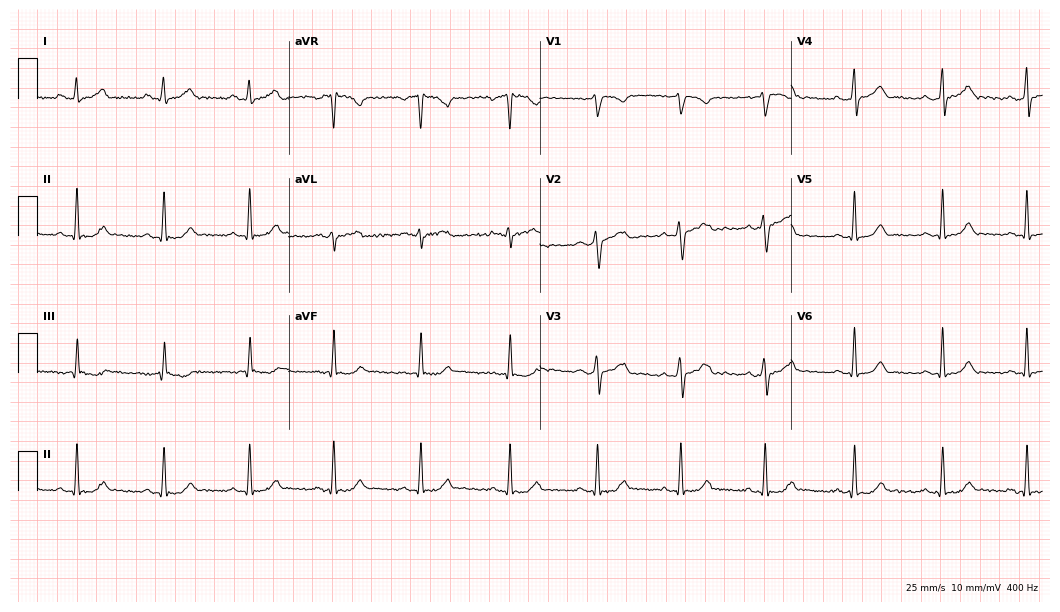
Resting 12-lead electrocardiogram (10.2-second recording at 400 Hz). Patient: a female, 24 years old. Read as a normal ECG.